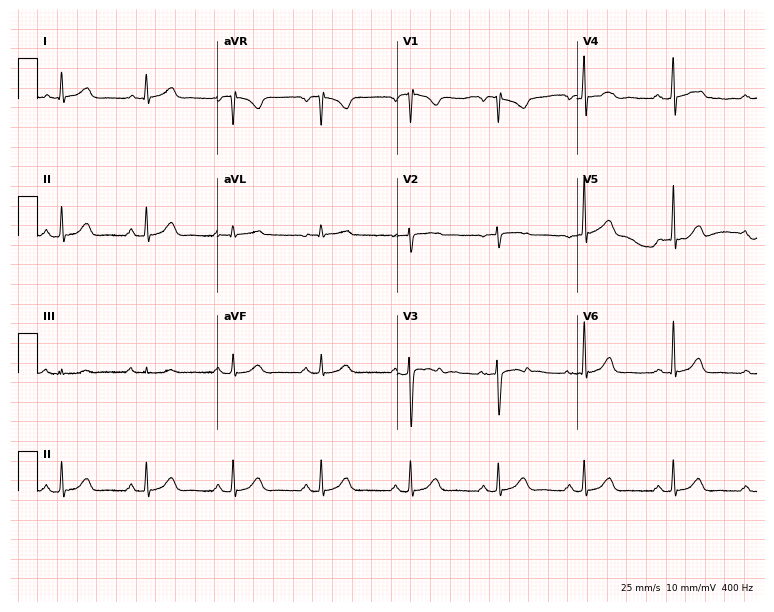
Electrocardiogram, a female, 31 years old. Overall reading on record: normal ECG.